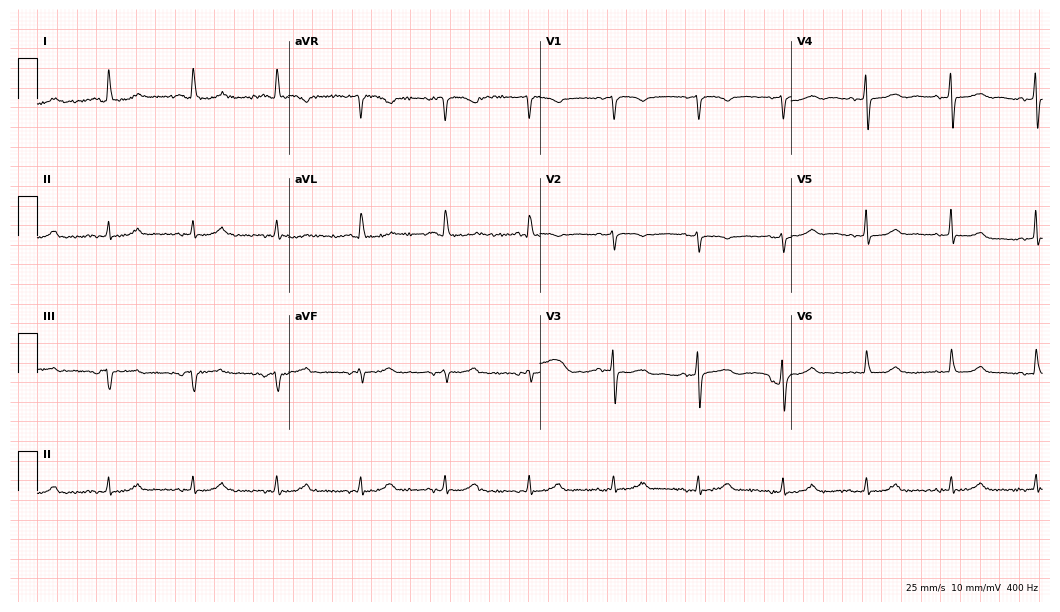
12-lead ECG from a 68-year-old female. Screened for six findings — first-degree AV block, right bundle branch block, left bundle branch block, sinus bradycardia, atrial fibrillation, sinus tachycardia — none is recorded. Only these six findings were labelled.